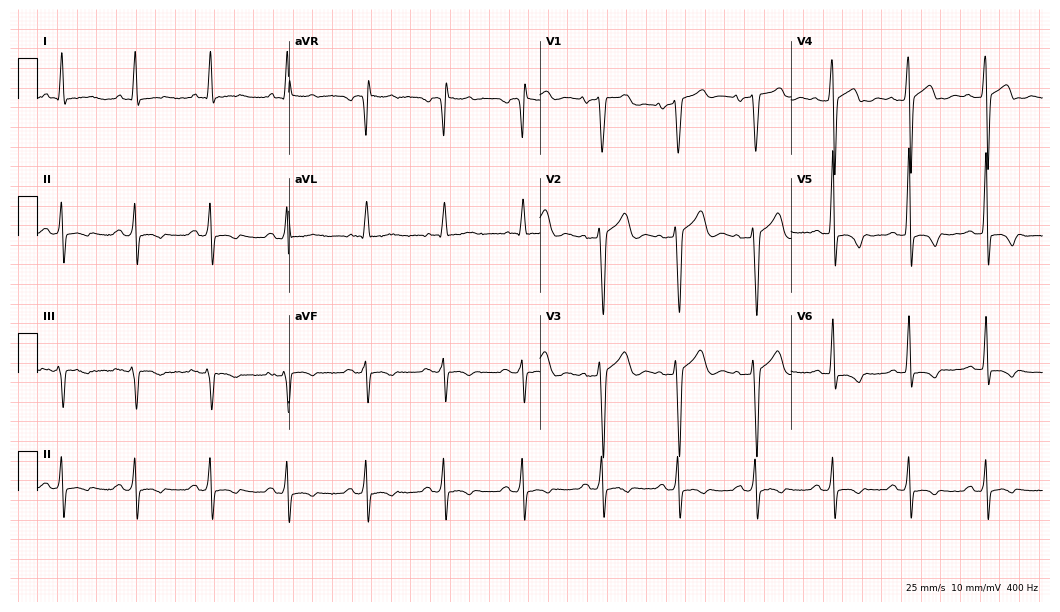
ECG (10.2-second recording at 400 Hz) — a male patient, 60 years old. Screened for six findings — first-degree AV block, right bundle branch block (RBBB), left bundle branch block (LBBB), sinus bradycardia, atrial fibrillation (AF), sinus tachycardia — none is recorded. Findings outside these six are not listed.